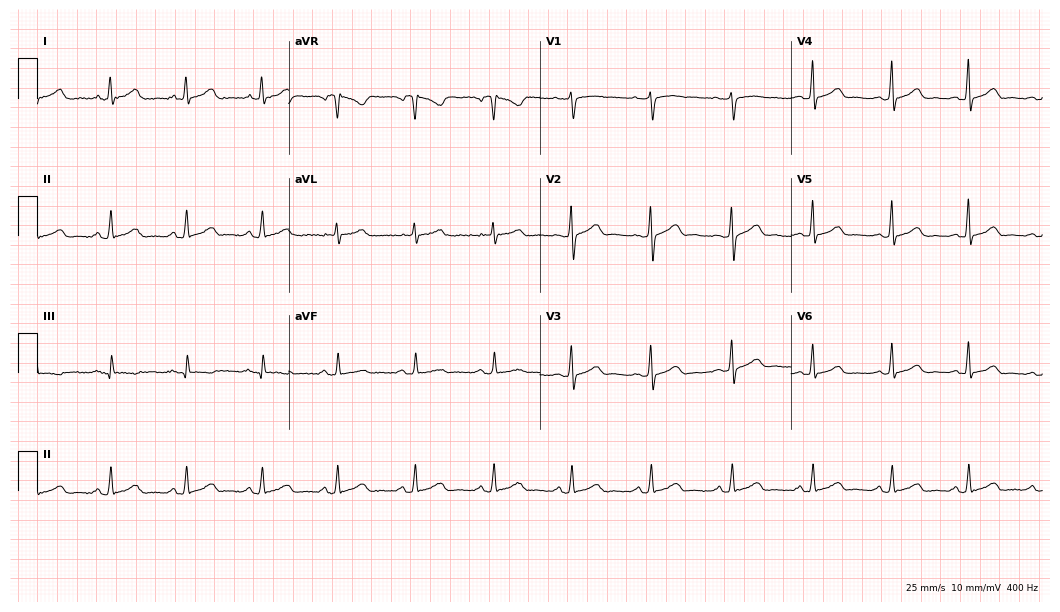
12-lead ECG (10.2-second recording at 400 Hz) from a female, 41 years old. Labelled as a normal ECG.